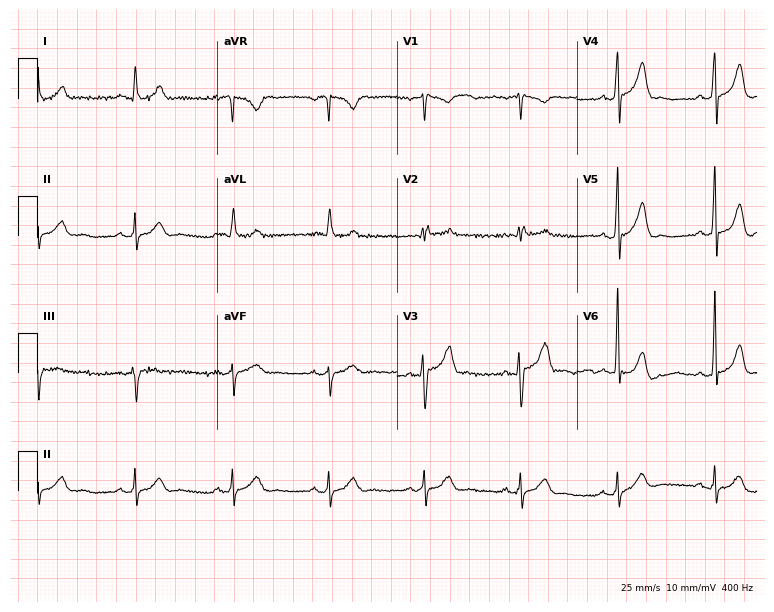
12-lead ECG from a male, 51 years old (7.3-second recording at 400 Hz). Recorded interpretation: within normal limits.